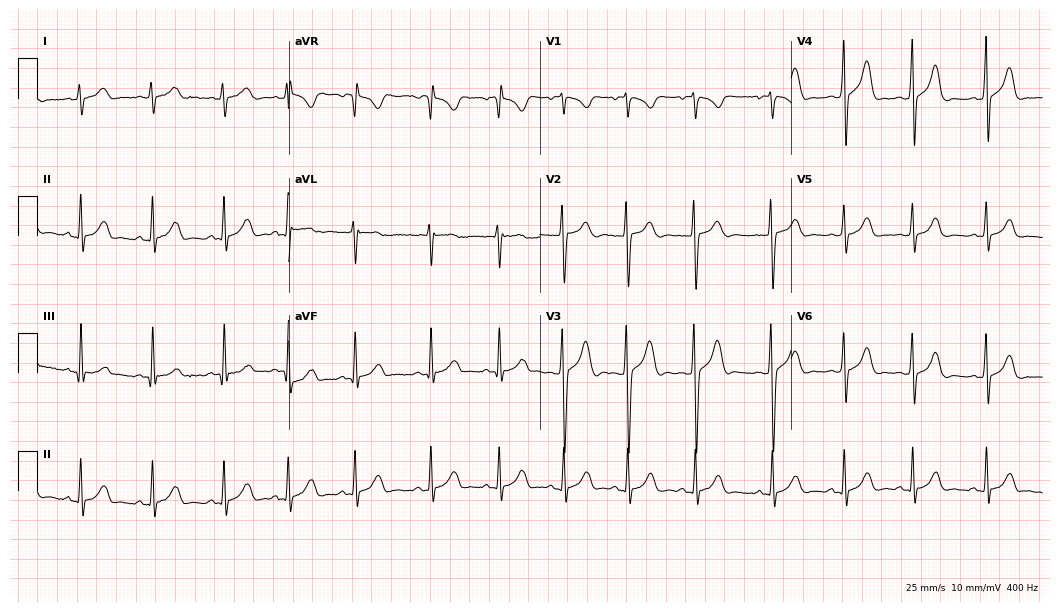
Standard 12-lead ECG recorded from a female patient, 17 years old. Read as a normal ECG.